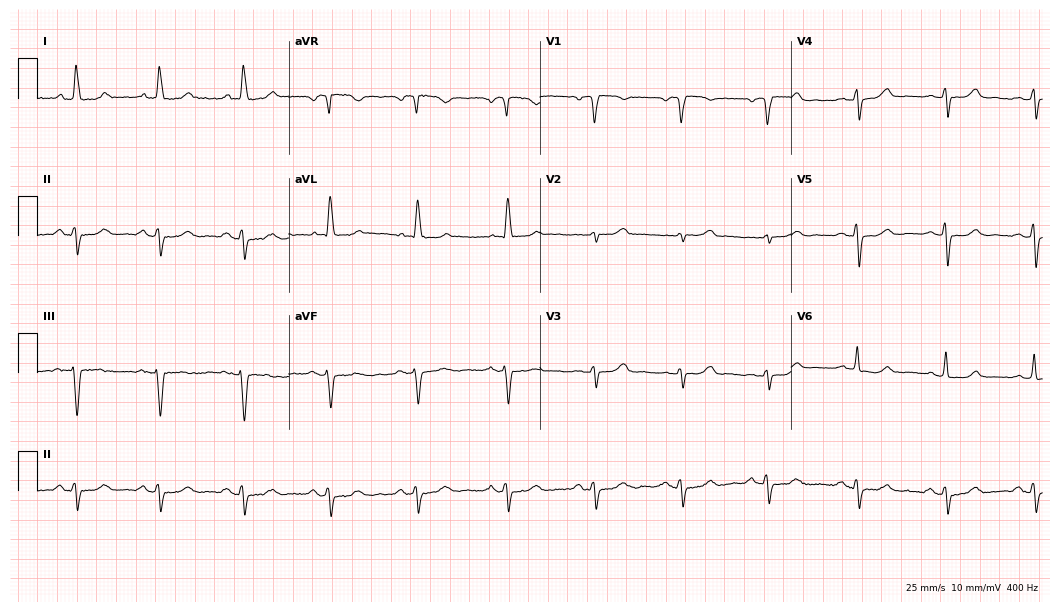
Resting 12-lead electrocardiogram. Patient: a 62-year-old woman. None of these six findings is recorded: first-degree AV block, right bundle branch block, left bundle branch block, sinus bradycardia, atrial fibrillation, sinus tachycardia. Only these six findings were labelled.